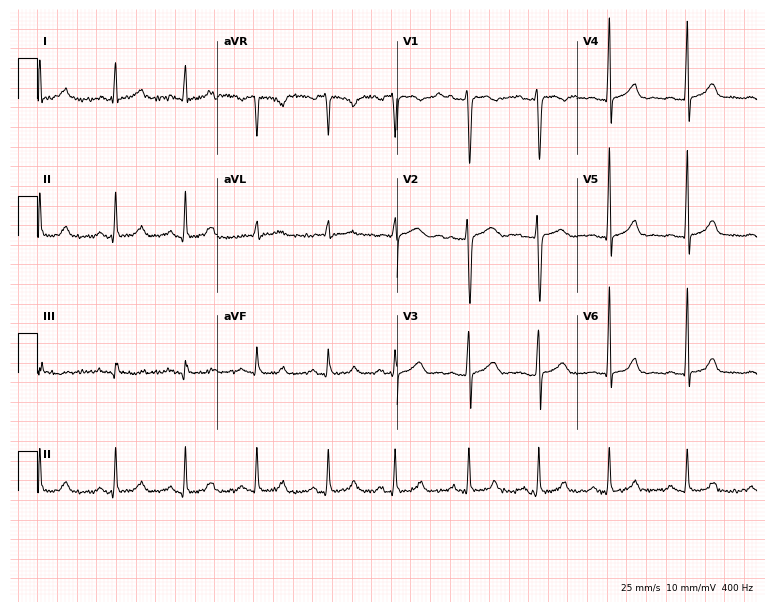
12-lead ECG from a female, 27 years old. Recorded interpretation: within normal limits.